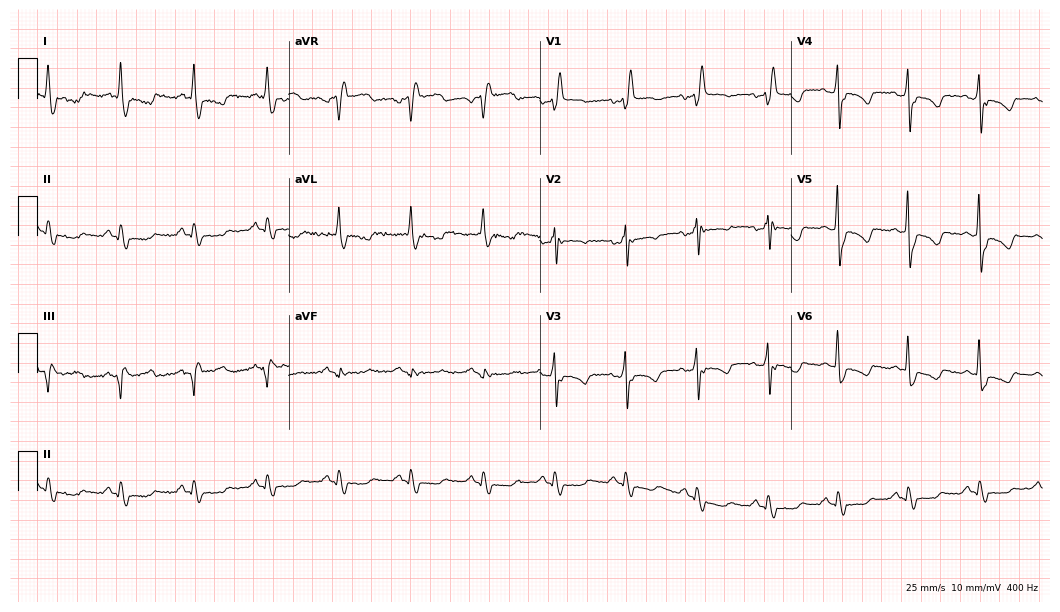
12-lead ECG from a woman, 53 years old. Shows right bundle branch block (RBBB).